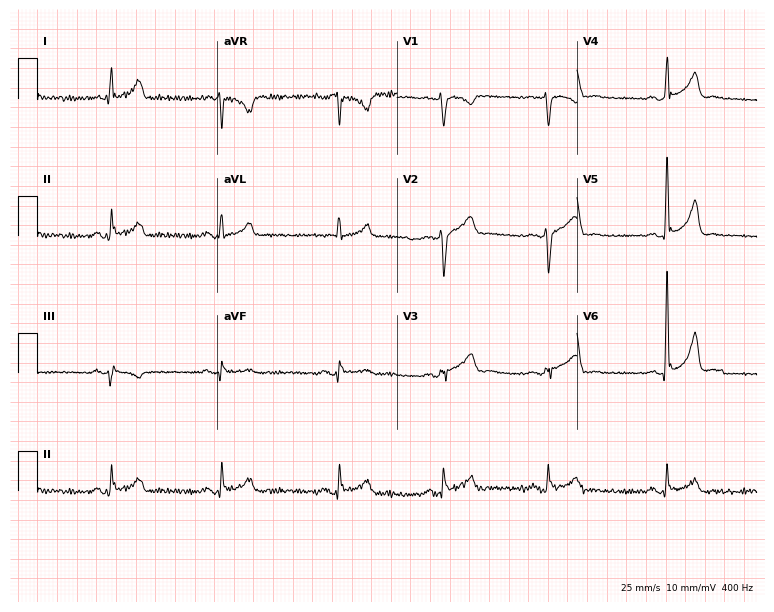
12-lead ECG from a man, 35 years old. Screened for six findings — first-degree AV block, right bundle branch block, left bundle branch block, sinus bradycardia, atrial fibrillation, sinus tachycardia — none is recorded. Findings outside these six are not listed.